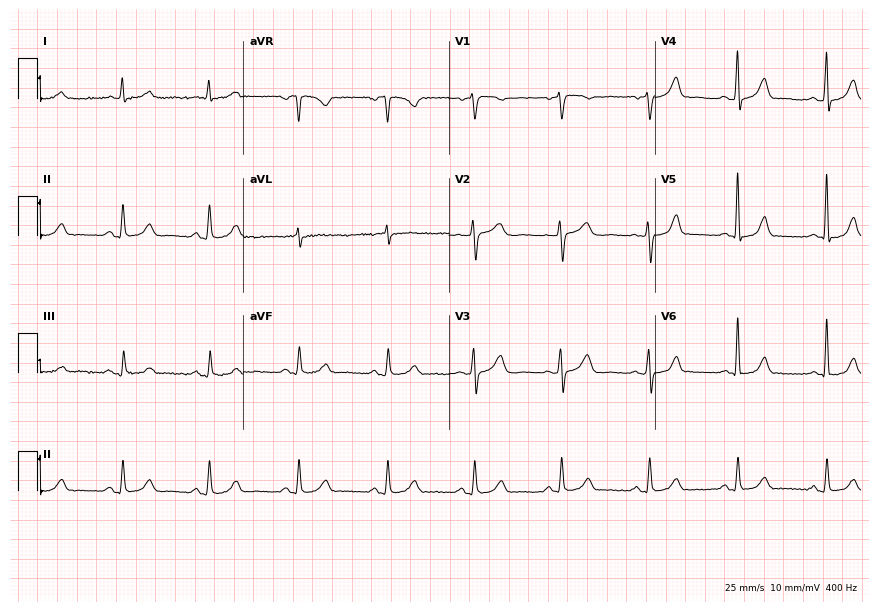
Resting 12-lead electrocardiogram (8.4-second recording at 400 Hz). Patient: a 60-year-old female. Read as a normal ECG.